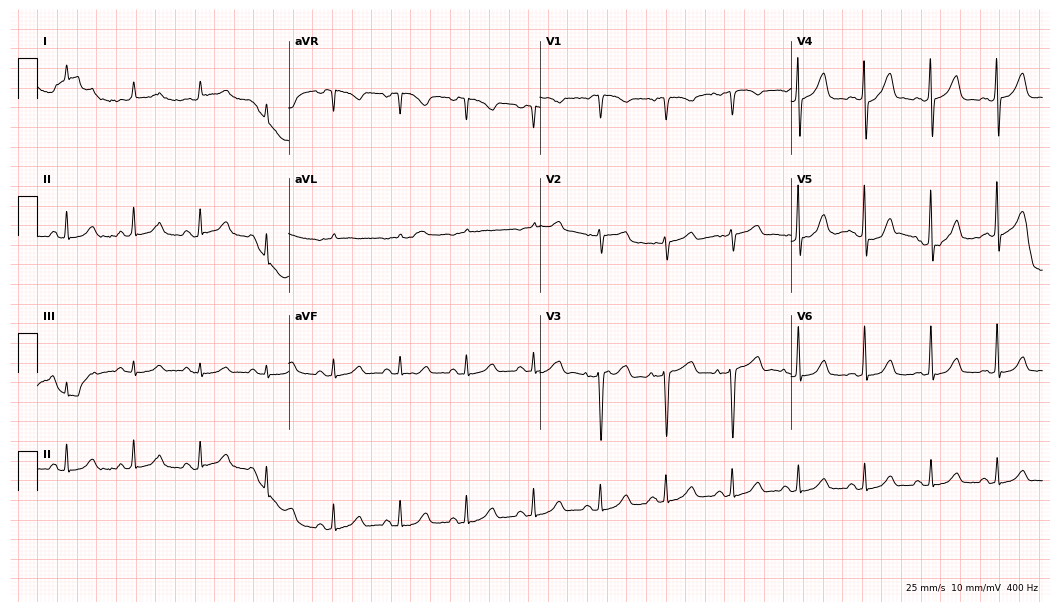
Standard 12-lead ECG recorded from a 74-year-old female patient. None of these six findings is recorded: first-degree AV block, right bundle branch block, left bundle branch block, sinus bradycardia, atrial fibrillation, sinus tachycardia.